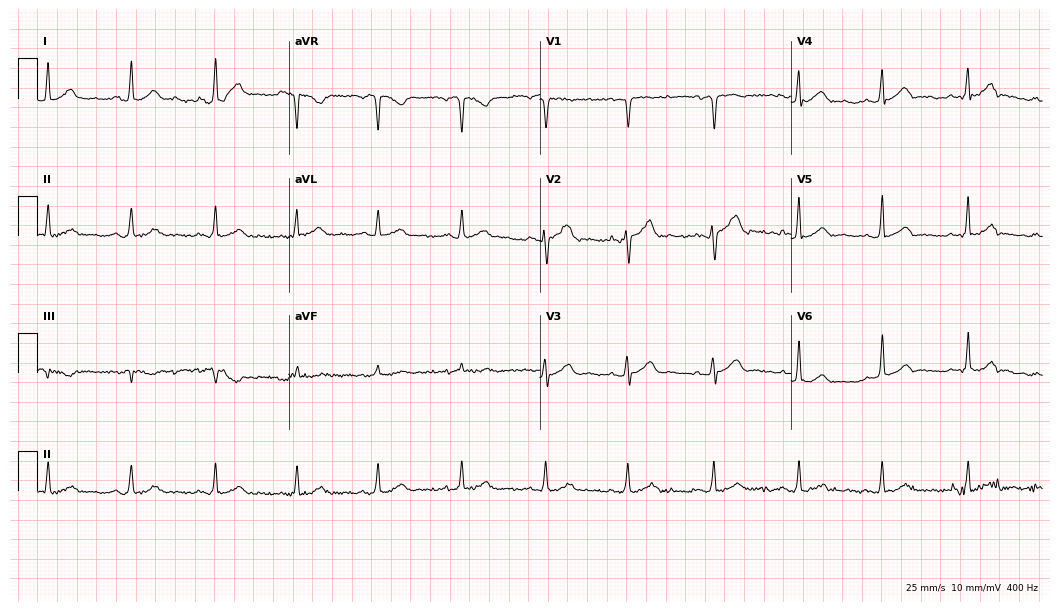
ECG (10.2-second recording at 400 Hz) — a 39-year-old male patient. Labelled as a normal ECG.